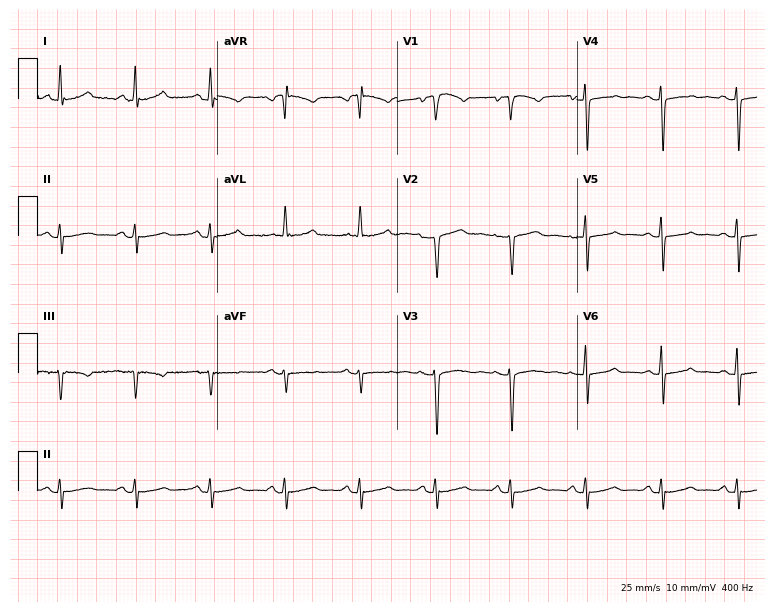
Electrocardiogram, a 65-year-old female patient. Of the six screened findings (first-degree AV block, right bundle branch block (RBBB), left bundle branch block (LBBB), sinus bradycardia, atrial fibrillation (AF), sinus tachycardia), none is recorded.